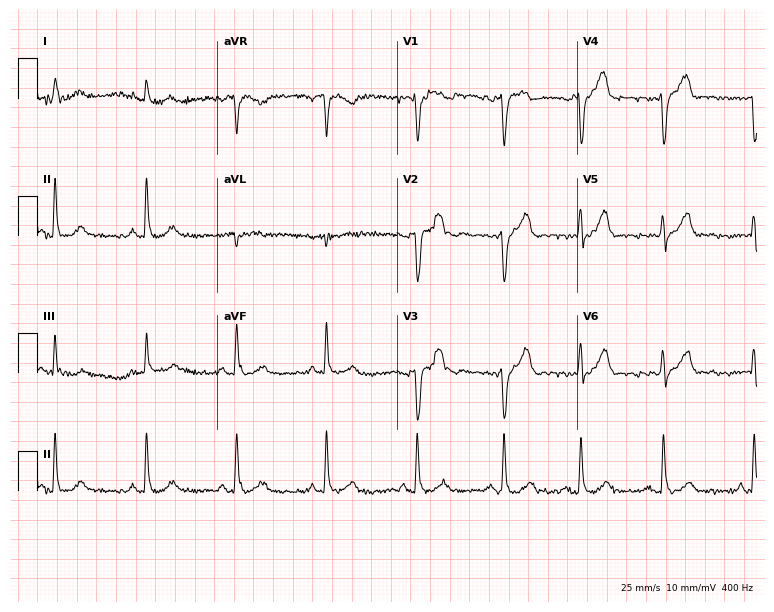
ECG — a 76-year-old male patient. Screened for six findings — first-degree AV block, right bundle branch block (RBBB), left bundle branch block (LBBB), sinus bradycardia, atrial fibrillation (AF), sinus tachycardia — none is recorded. Other findings, if any, are not listed.